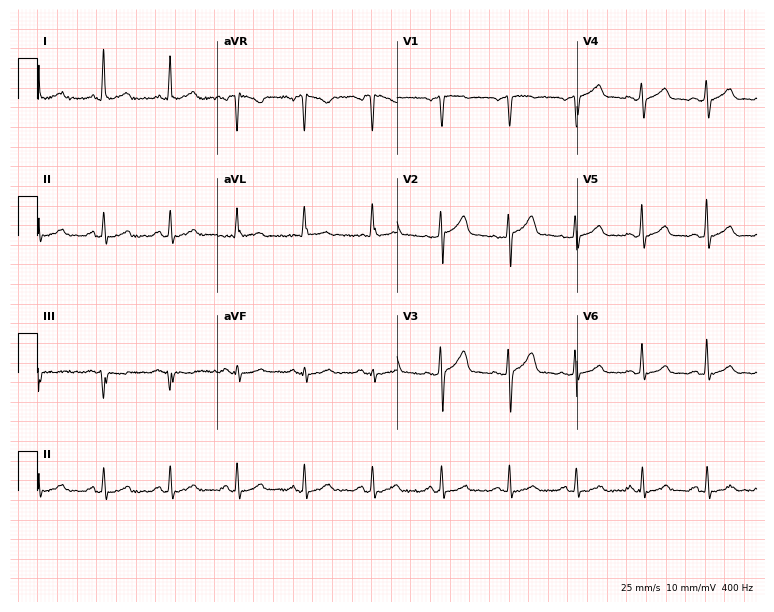
ECG (7.3-second recording at 400 Hz) — a male patient, 56 years old. Screened for six findings — first-degree AV block, right bundle branch block, left bundle branch block, sinus bradycardia, atrial fibrillation, sinus tachycardia — none is recorded.